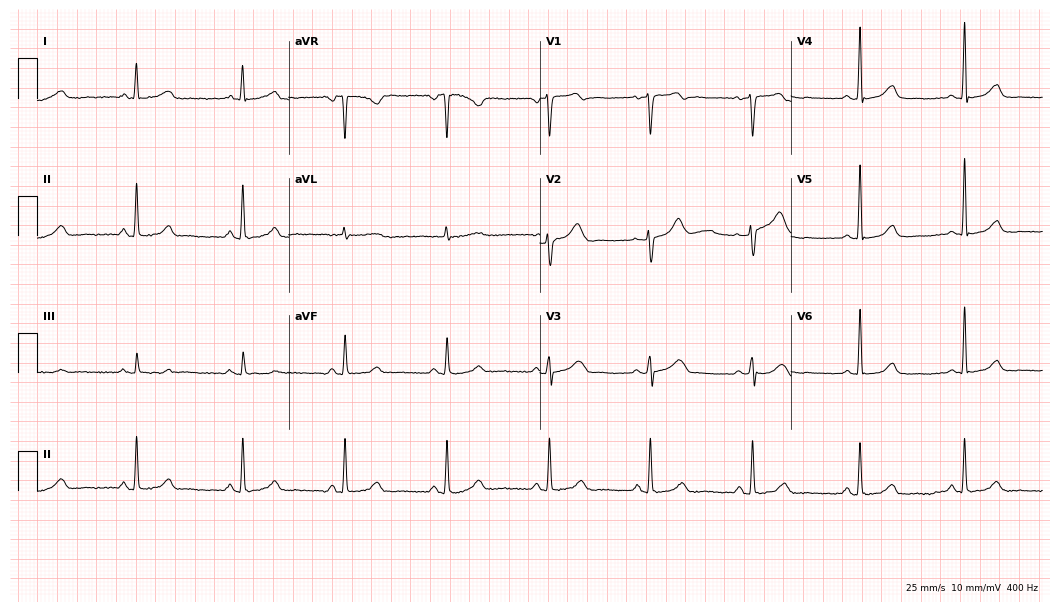
ECG — a female patient, 48 years old. Labelled as a normal ECG.